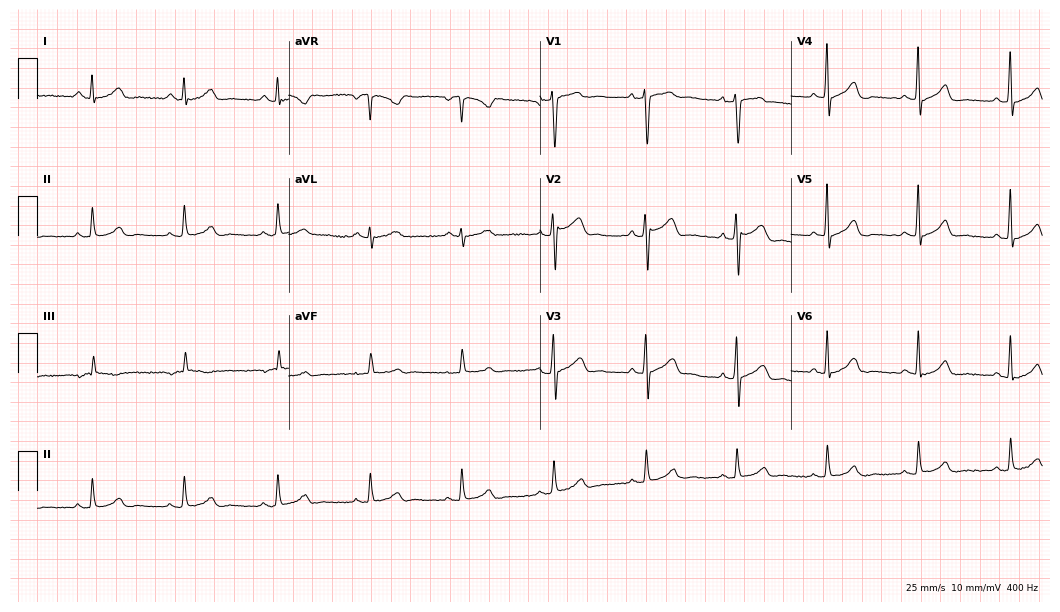
ECG — a 45-year-old male patient. Labelled as a normal ECG.